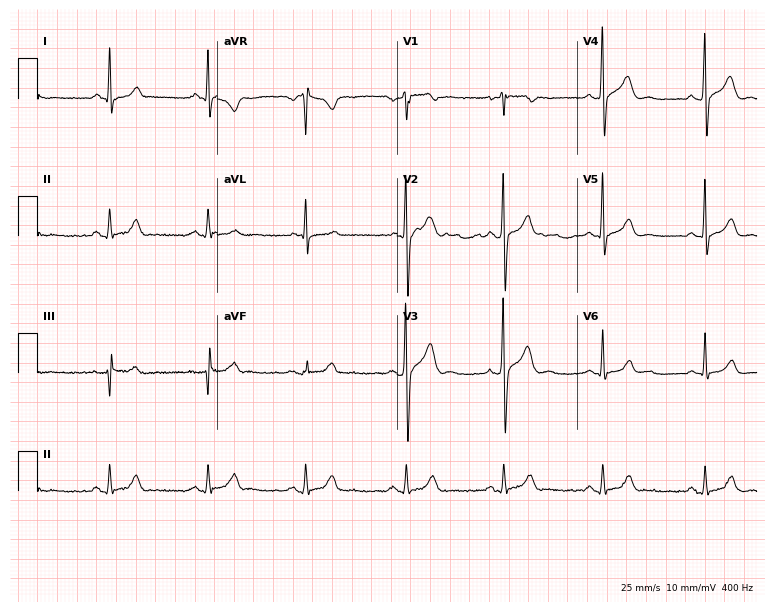
12-lead ECG from a 32-year-old man (7.3-second recording at 400 Hz). No first-degree AV block, right bundle branch block, left bundle branch block, sinus bradycardia, atrial fibrillation or sinus tachycardia recorded for this tracing. Findings outside these six are not listed.